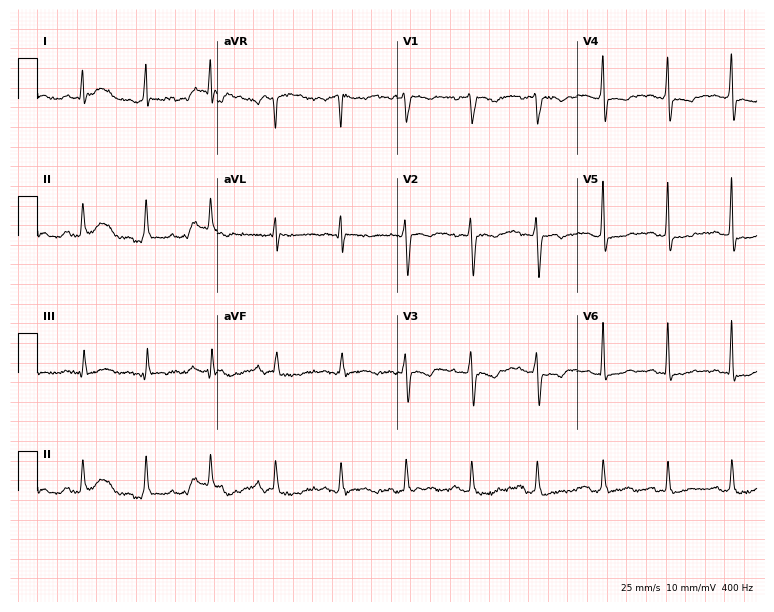
ECG (7.3-second recording at 400 Hz) — a female patient, 41 years old. Screened for six findings — first-degree AV block, right bundle branch block, left bundle branch block, sinus bradycardia, atrial fibrillation, sinus tachycardia — none is recorded.